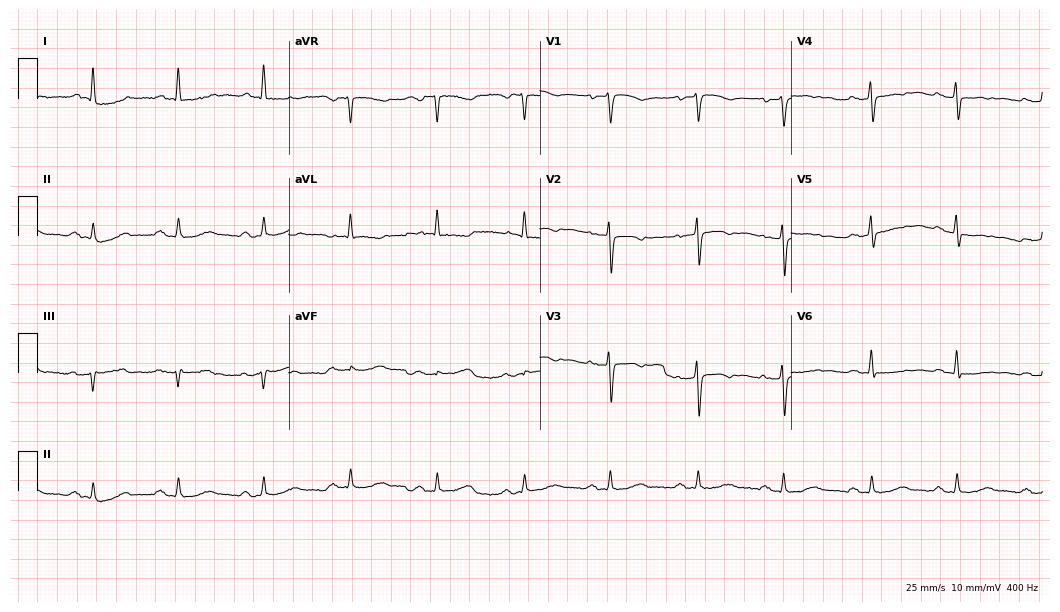
Resting 12-lead electrocardiogram. Patient: a female, 69 years old. Read as a normal ECG.